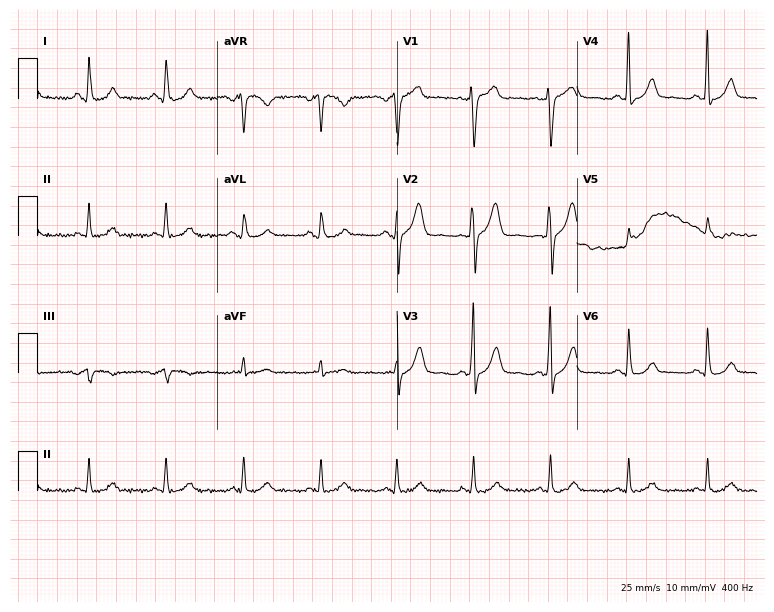
12-lead ECG from a 69-year-old man (7.3-second recording at 400 Hz). No first-degree AV block, right bundle branch block, left bundle branch block, sinus bradycardia, atrial fibrillation or sinus tachycardia recorded for this tracing. Findings outside these six are not listed.